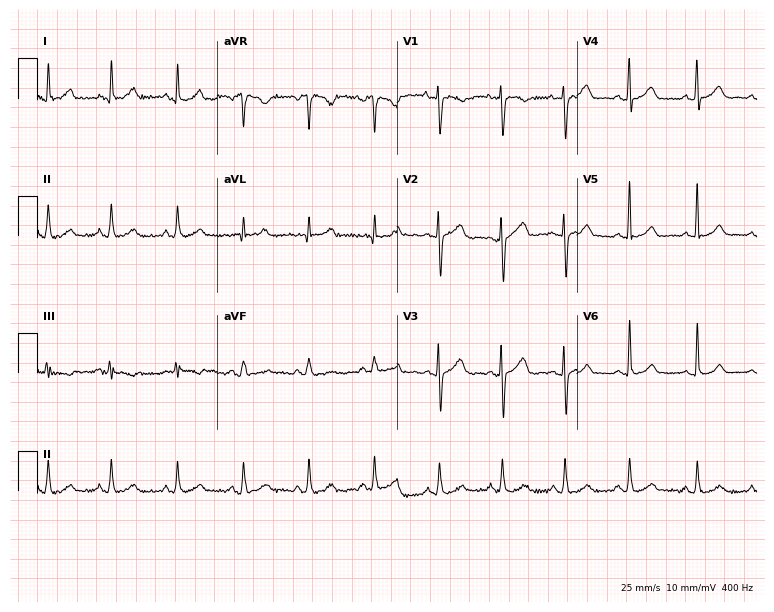
ECG — a woman, 35 years old. Screened for six findings — first-degree AV block, right bundle branch block, left bundle branch block, sinus bradycardia, atrial fibrillation, sinus tachycardia — none is recorded.